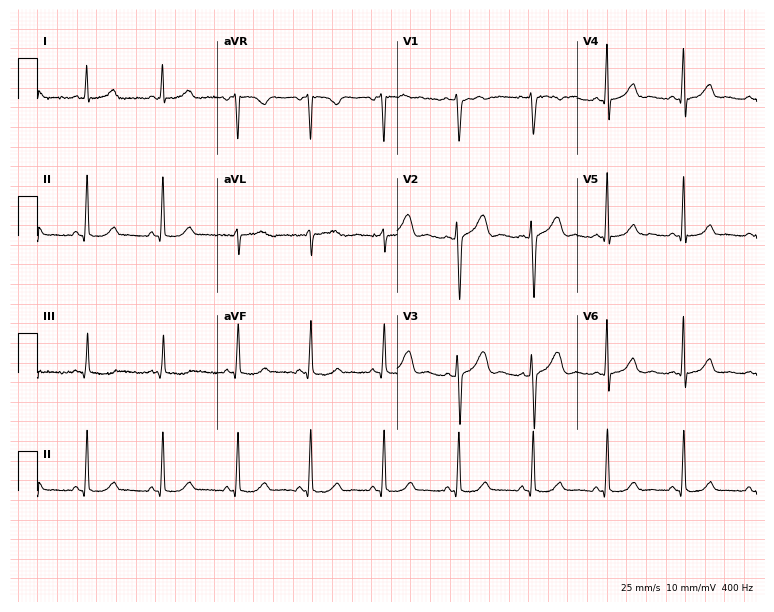
Standard 12-lead ECG recorded from a female patient, 38 years old. None of these six findings is recorded: first-degree AV block, right bundle branch block, left bundle branch block, sinus bradycardia, atrial fibrillation, sinus tachycardia. Findings outside these six are not listed.